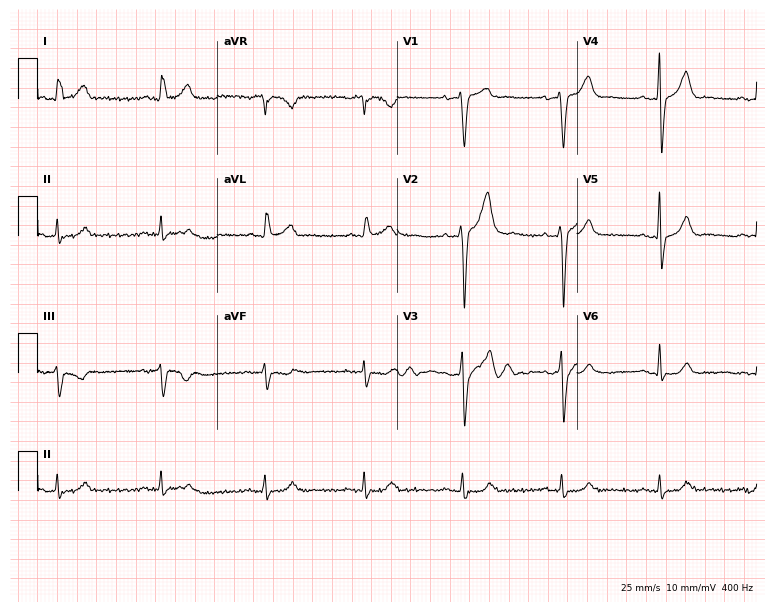
ECG — a 66-year-old male. Labelled as a normal ECG.